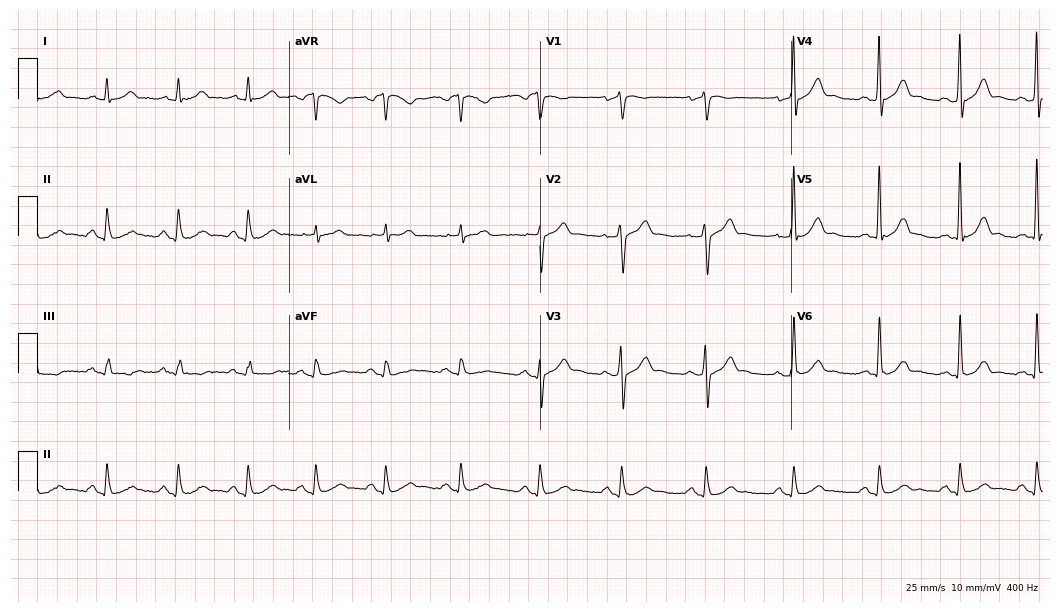
Electrocardiogram, a woman, 52 years old. Overall reading on record: normal ECG.